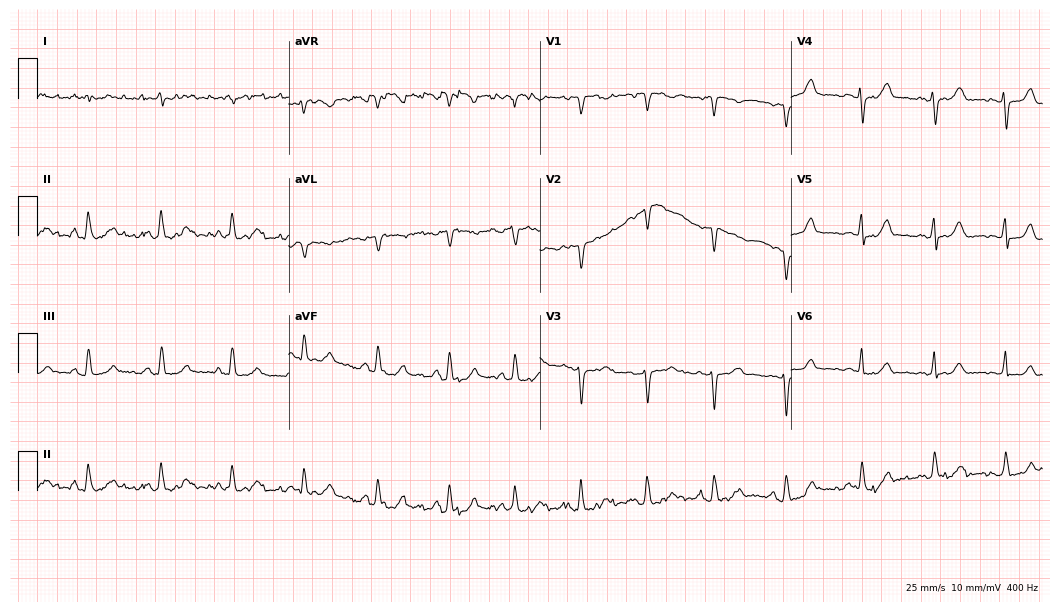
Standard 12-lead ECG recorded from a female patient, 55 years old (10.2-second recording at 400 Hz). None of these six findings is recorded: first-degree AV block, right bundle branch block (RBBB), left bundle branch block (LBBB), sinus bradycardia, atrial fibrillation (AF), sinus tachycardia.